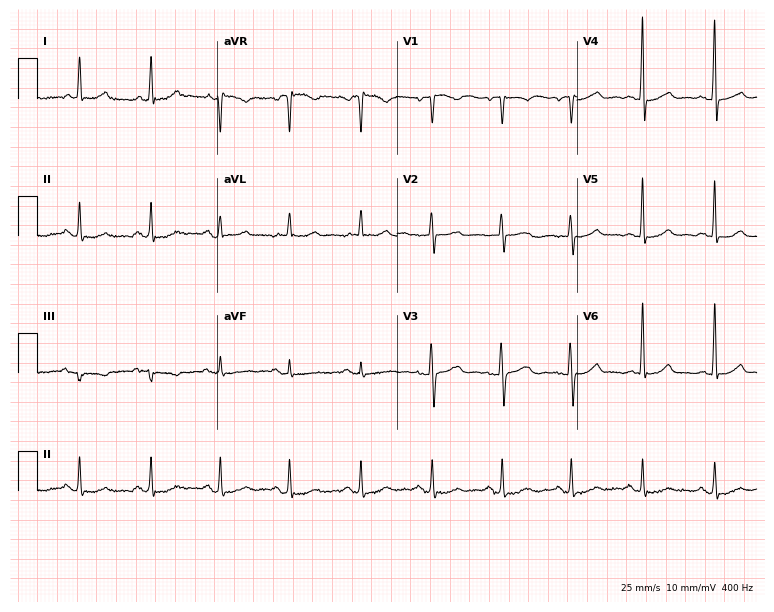
ECG — a woman, 61 years old. Screened for six findings — first-degree AV block, right bundle branch block (RBBB), left bundle branch block (LBBB), sinus bradycardia, atrial fibrillation (AF), sinus tachycardia — none is recorded. Only these six findings were labelled.